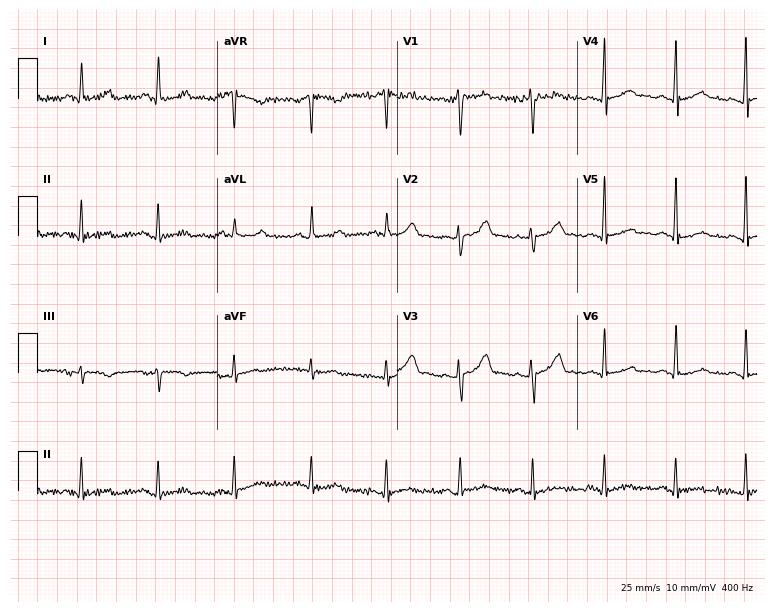
Resting 12-lead electrocardiogram (7.3-second recording at 400 Hz). Patient: a female, 28 years old. None of these six findings is recorded: first-degree AV block, right bundle branch block, left bundle branch block, sinus bradycardia, atrial fibrillation, sinus tachycardia. Only these six findings were labelled.